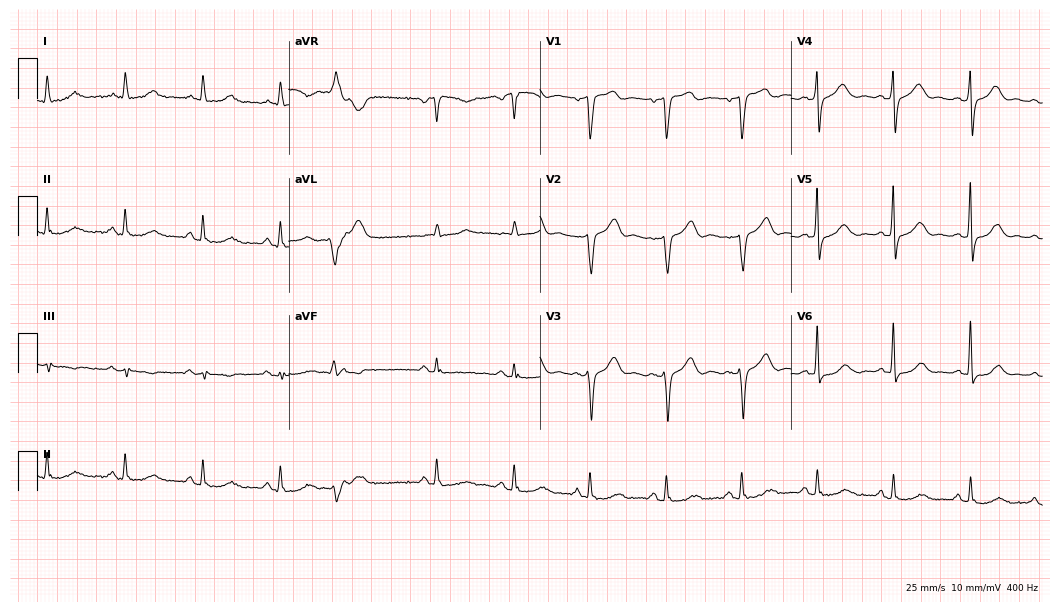
Electrocardiogram (10.2-second recording at 400 Hz), a 75-year-old male. Of the six screened findings (first-degree AV block, right bundle branch block, left bundle branch block, sinus bradycardia, atrial fibrillation, sinus tachycardia), none is recorded. Findings outside these six are not listed.